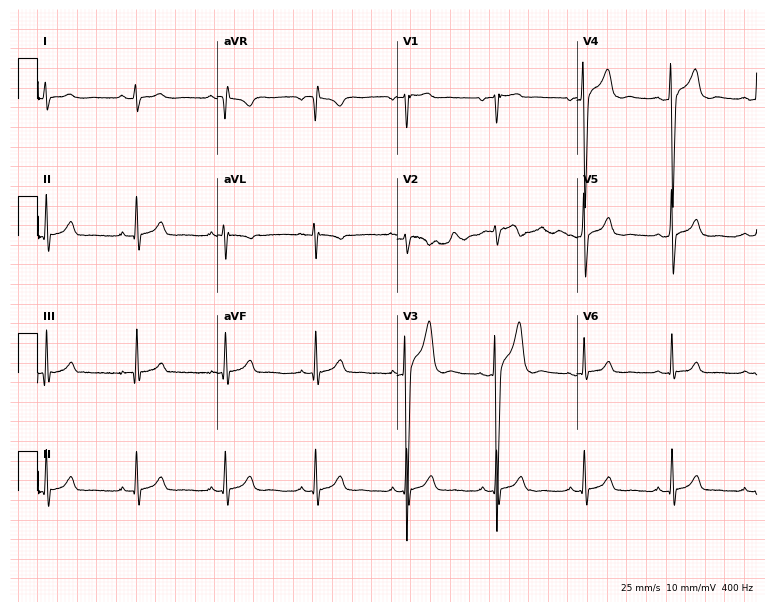
Standard 12-lead ECG recorded from a 26-year-old man (7.3-second recording at 400 Hz). Read as a normal ECG.